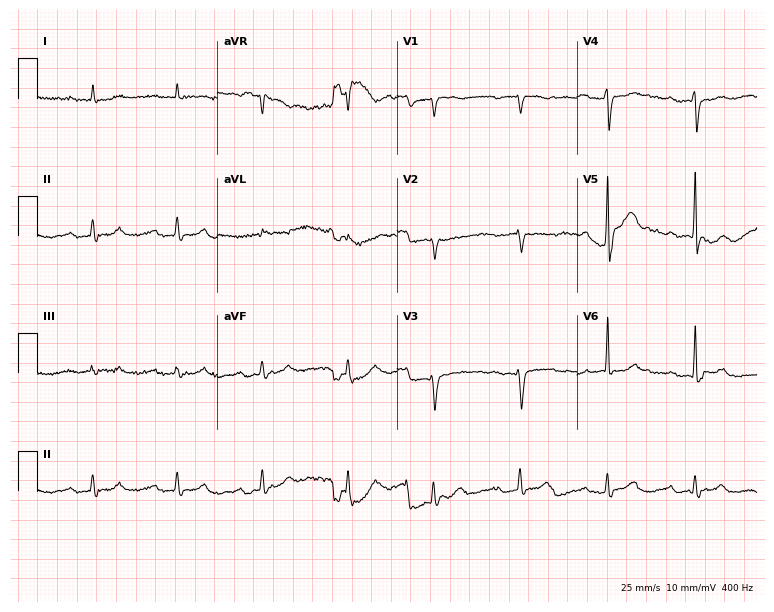
Electrocardiogram, an 81-year-old female patient. Of the six screened findings (first-degree AV block, right bundle branch block (RBBB), left bundle branch block (LBBB), sinus bradycardia, atrial fibrillation (AF), sinus tachycardia), none is recorded.